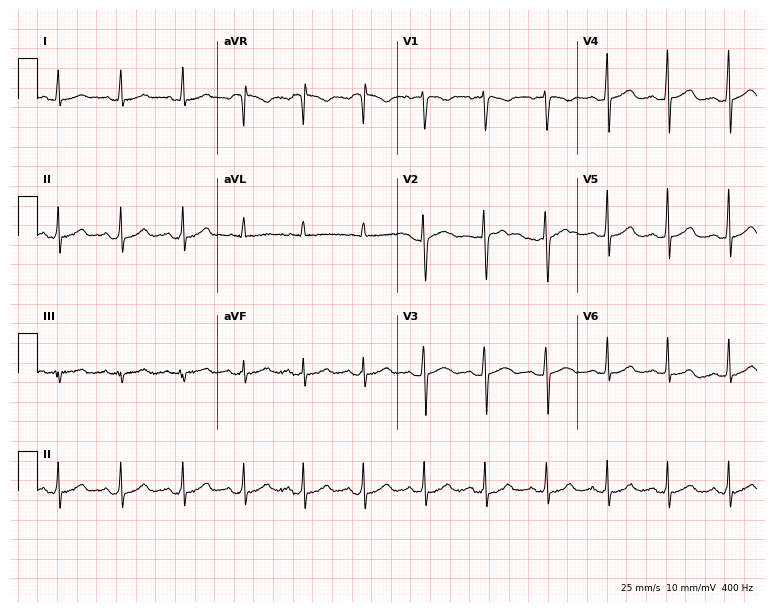
Electrocardiogram, a 36-year-old woman. Of the six screened findings (first-degree AV block, right bundle branch block (RBBB), left bundle branch block (LBBB), sinus bradycardia, atrial fibrillation (AF), sinus tachycardia), none is recorded. Other findings, if any, are not listed.